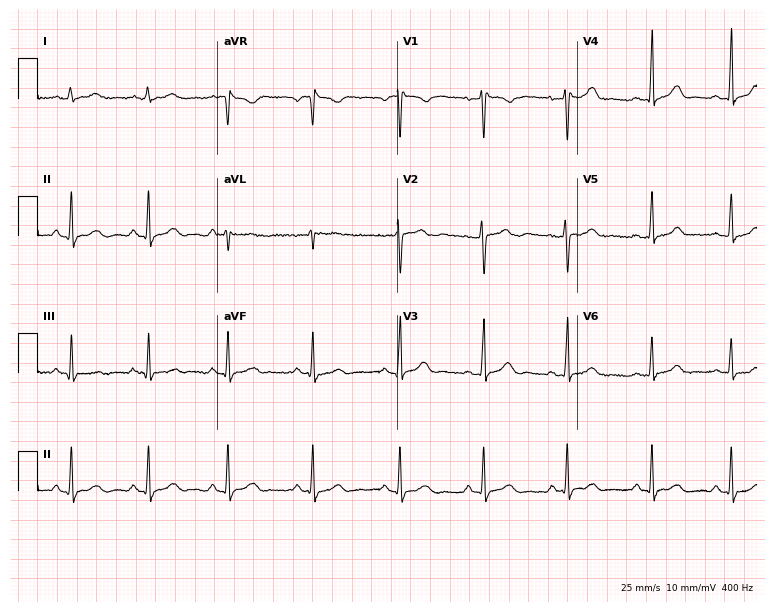
Standard 12-lead ECG recorded from a 27-year-old female. Read as a normal ECG.